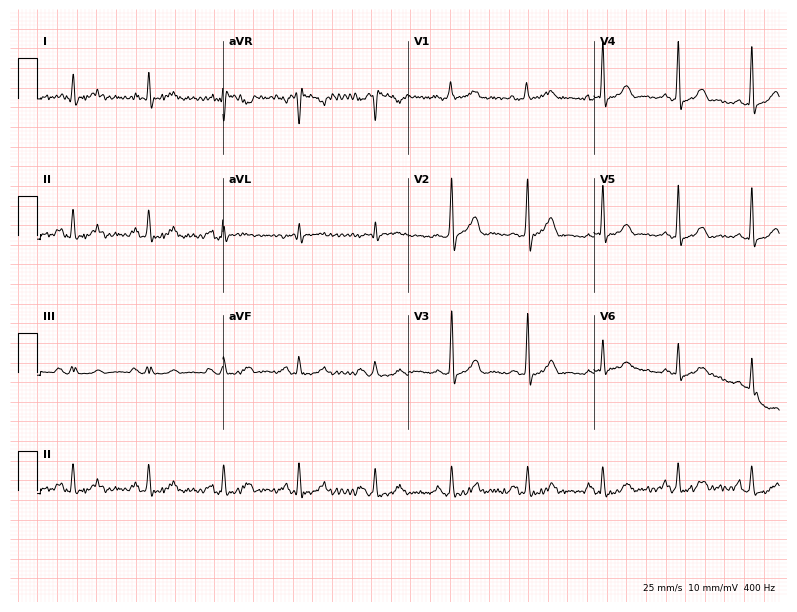
Resting 12-lead electrocardiogram. Patient: a 65-year-old man. Read as a normal ECG.